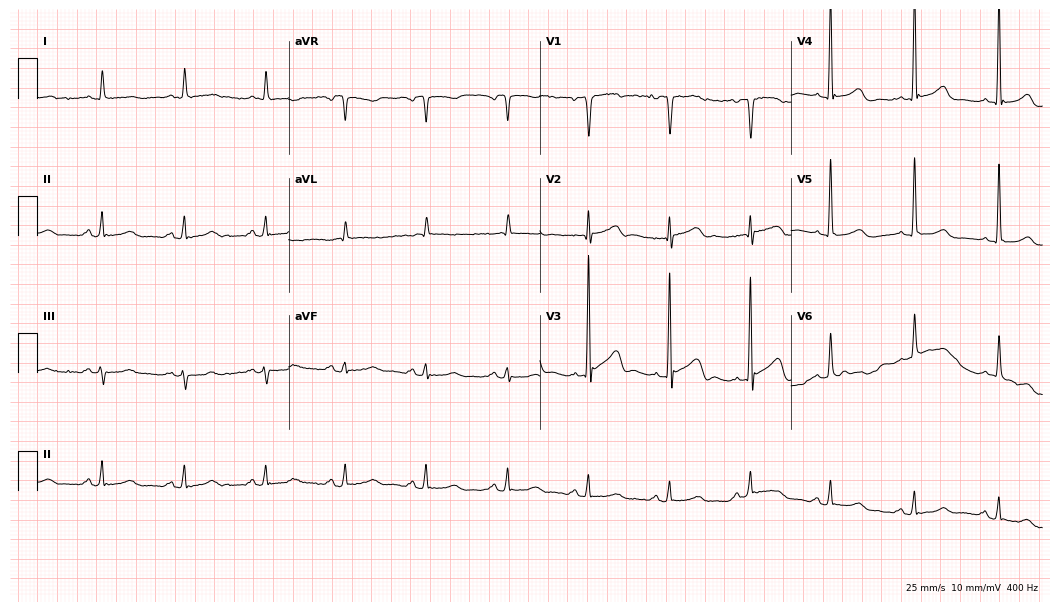
12-lead ECG from a 69-year-old male. Recorded interpretation: within normal limits.